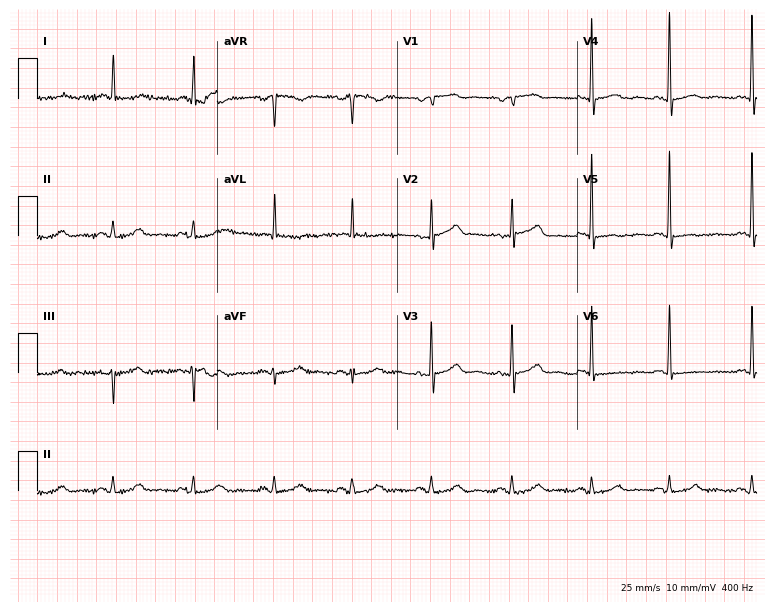
Electrocardiogram, a 75-year-old woman. Of the six screened findings (first-degree AV block, right bundle branch block (RBBB), left bundle branch block (LBBB), sinus bradycardia, atrial fibrillation (AF), sinus tachycardia), none is recorded. Only these six findings were labelled.